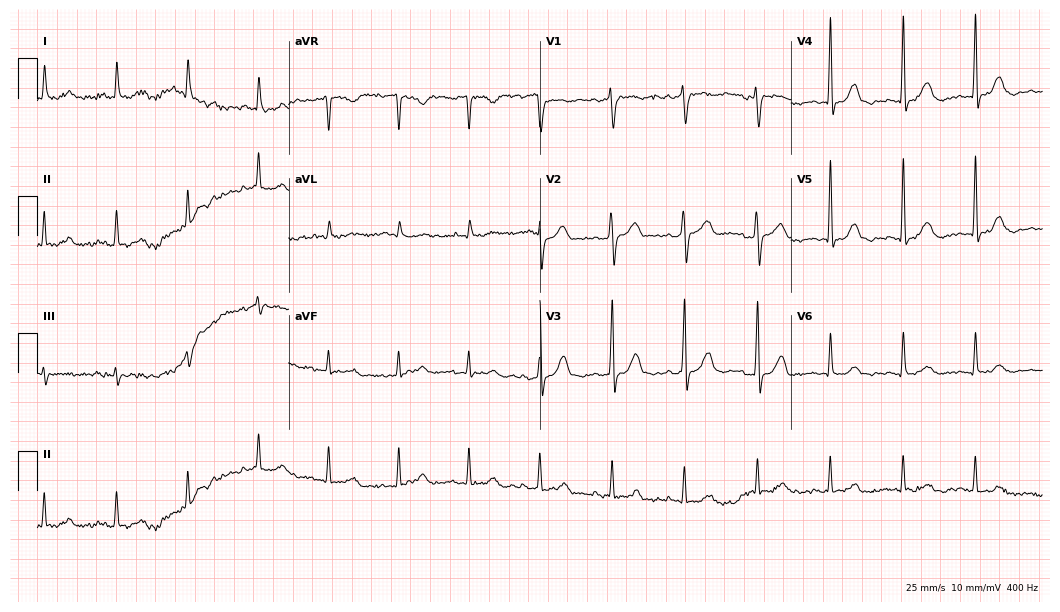
ECG — a female patient, 75 years old. Labelled as a normal ECG.